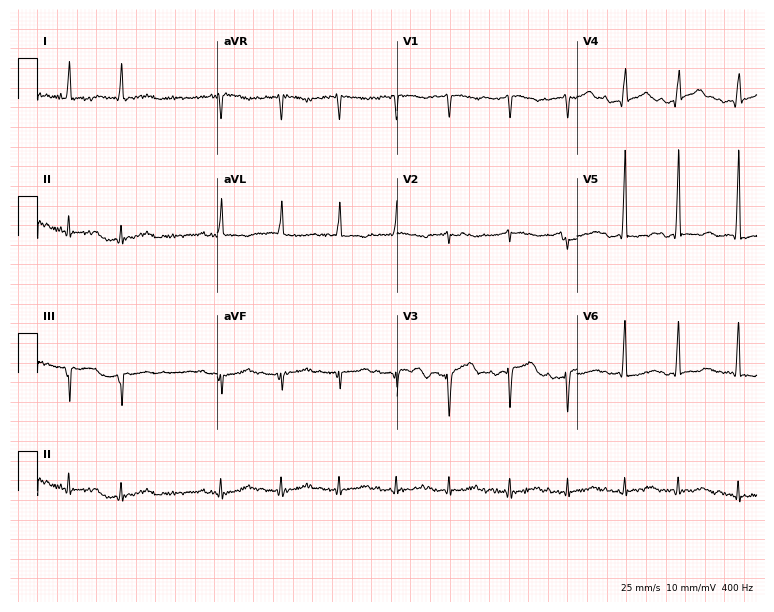
12-lead ECG from a man, 69 years old (7.3-second recording at 400 Hz). No first-degree AV block, right bundle branch block, left bundle branch block, sinus bradycardia, atrial fibrillation or sinus tachycardia recorded for this tracing. Findings outside these six are not listed.